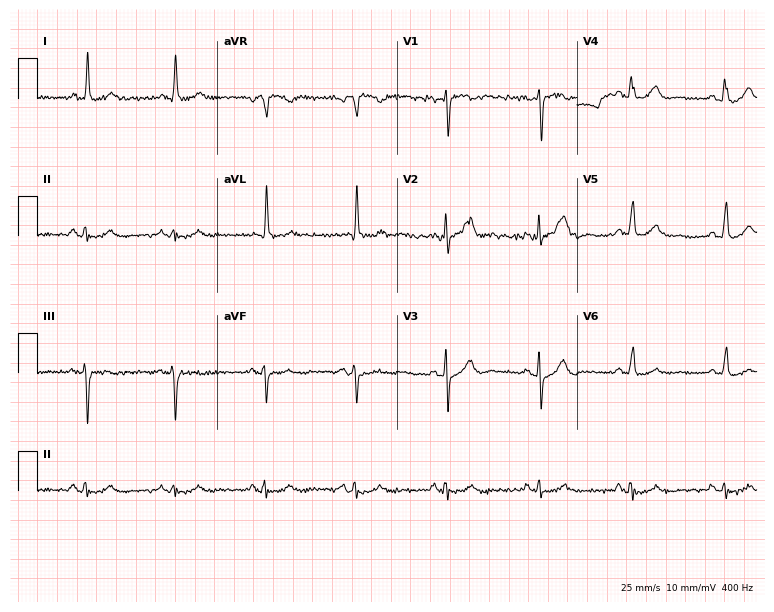
Standard 12-lead ECG recorded from a 73-year-old man (7.3-second recording at 400 Hz). None of these six findings is recorded: first-degree AV block, right bundle branch block (RBBB), left bundle branch block (LBBB), sinus bradycardia, atrial fibrillation (AF), sinus tachycardia.